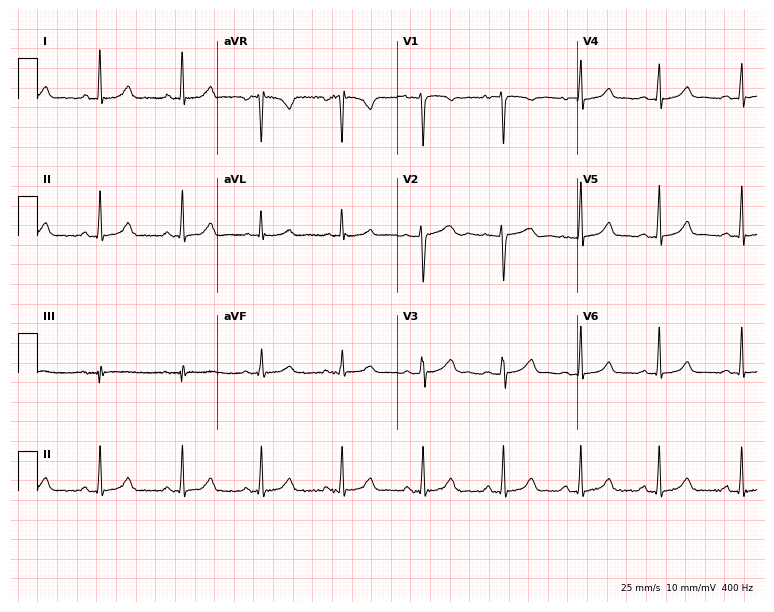
12-lead ECG from a woman, 27 years old (7.3-second recording at 400 Hz). No first-degree AV block, right bundle branch block, left bundle branch block, sinus bradycardia, atrial fibrillation or sinus tachycardia recorded for this tracing.